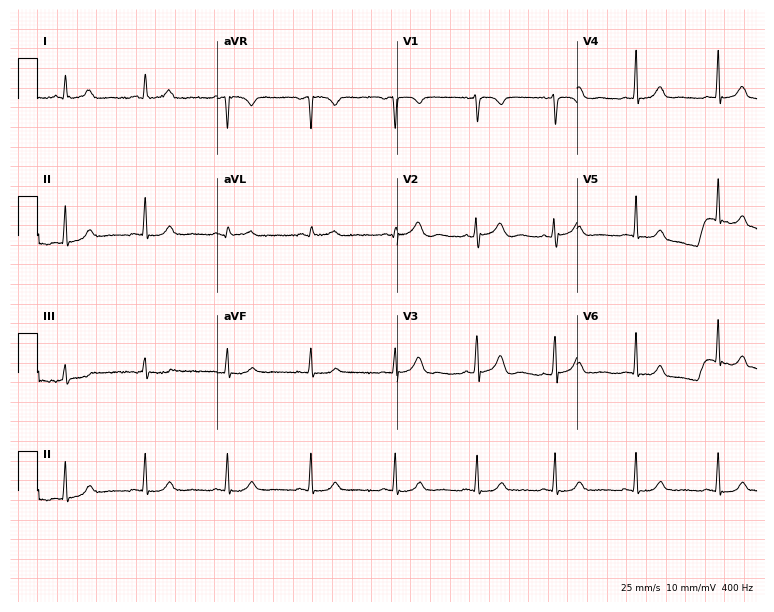
Resting 12-lead electrocardiogram. Patient: a 30-year-old female. Read as a normal ECG.